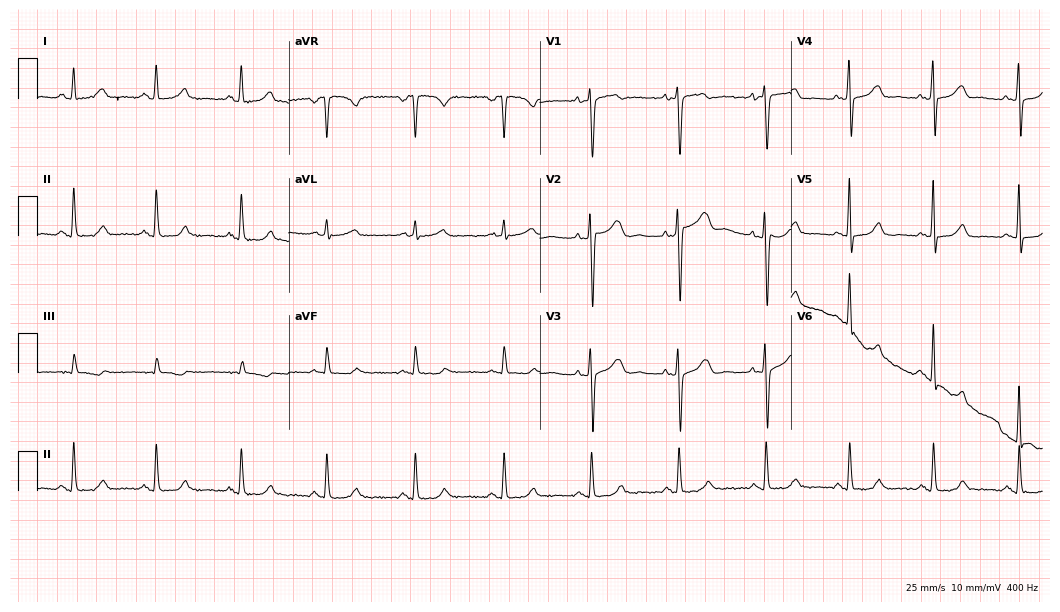
ECG (10.2-second recording at 400 Hz) — a 48-year-old female. Labelled as a normal ECG.